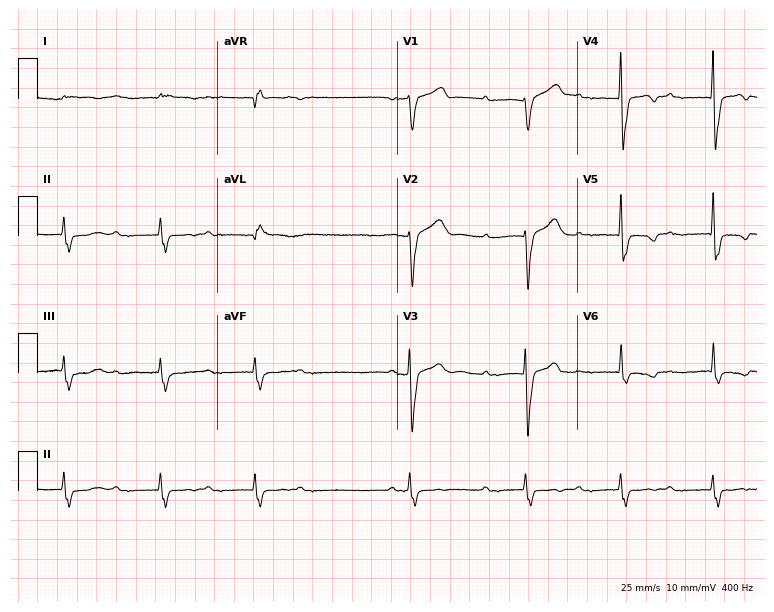
Electrocardiogram, a male patient, 66 years old. Of the six screened findings (first-degree AV block, right bundle branch block, left bundle branch block, sinus bradycardia, atrial fibrillation, sinus tachycardia), none is recorded.